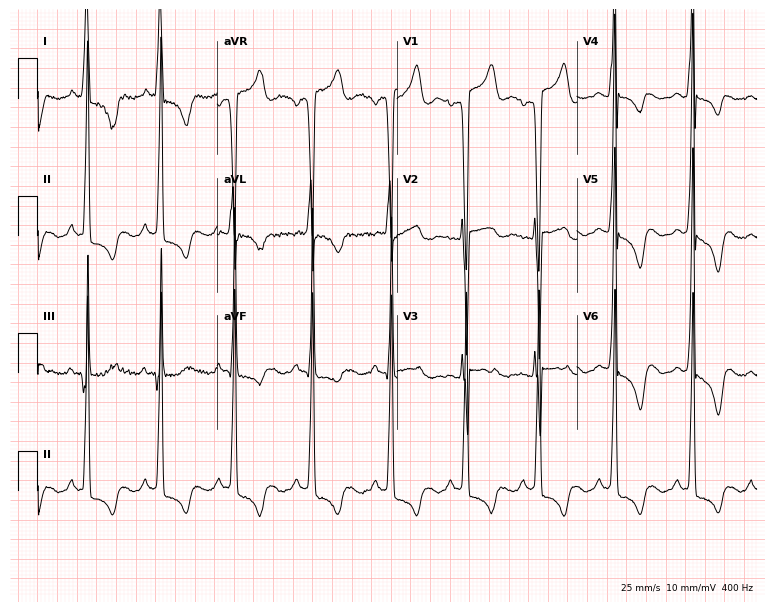
12-lead ECG from a 59-year-old female. No first-degree AV block, right bundle branch block, left bundle branch block, sinus bradycardia, atrial fibrillation or sinus tachycardia recorded for this tracing.